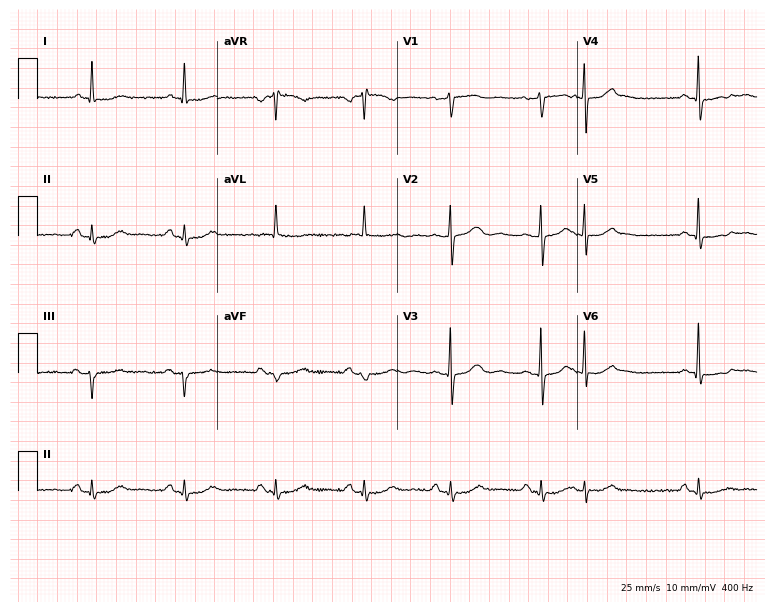
Electrocardiogram (7.3-second recording at 400 Hz), a 76-year-old female patient. Of the six screened findings (first-degree AV block, right bundle branch block, left bundle branch block, sinus bradycardia, atrial fibrillation, sinus tachycardia), none is recorded.